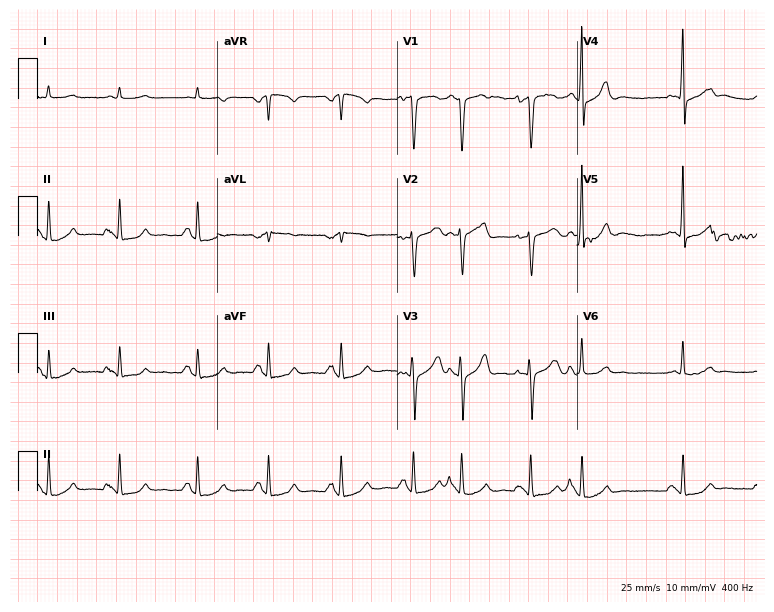
12-lead ECG from a 61-year-old male patient (7.3-second recording at 400 Hz). No first-degree AV block, right bundle branch block, left bundle branch block, sinus bradycardia, atrial fibrillation or sinus tachycardia recorded for this tracing.